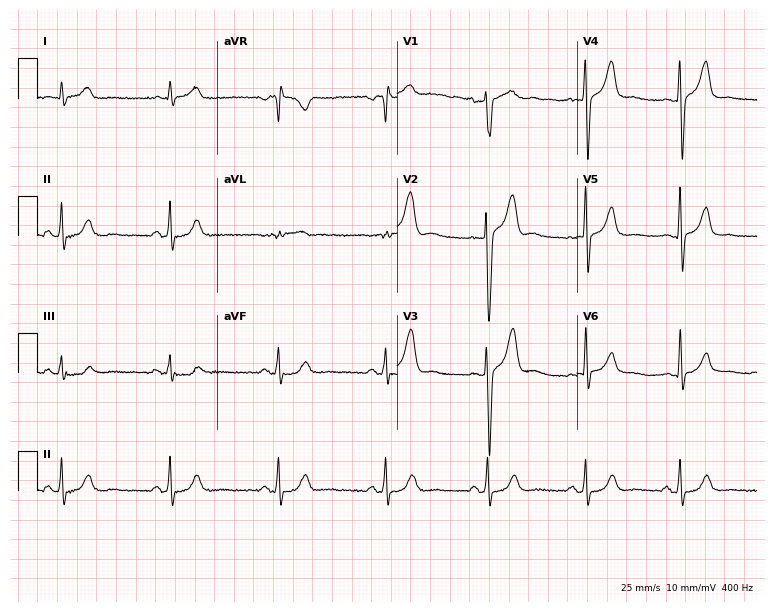
ECG (7.3-second recording at 400 Hz) — a male, 50 years old. Screened for six findings — first-degree AV block, right bundle branch block, left bundle branch block, sinus bradycardia, atrial fibrillation, sinus tachycardia — none is recorded.